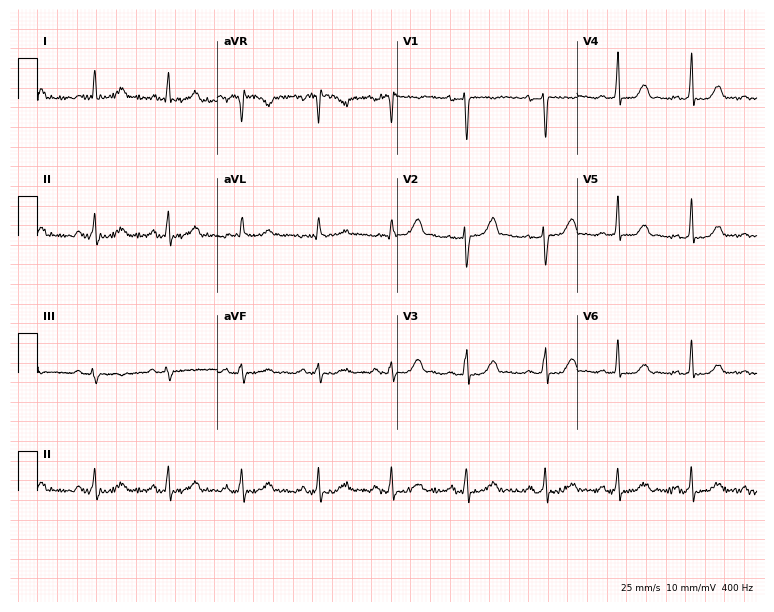
Electrocardiogram, a 44-year-old female patient. Overall reading on record: normal ECG.